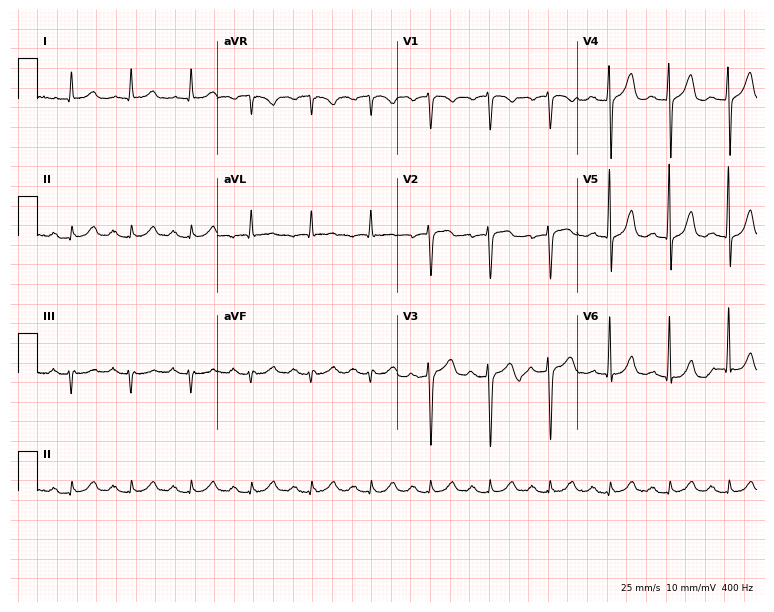
Electrocardiogram (7.3-second recording at 400 Hz), a 78-year-old male patient. Interpretation includes first-degree AV block.